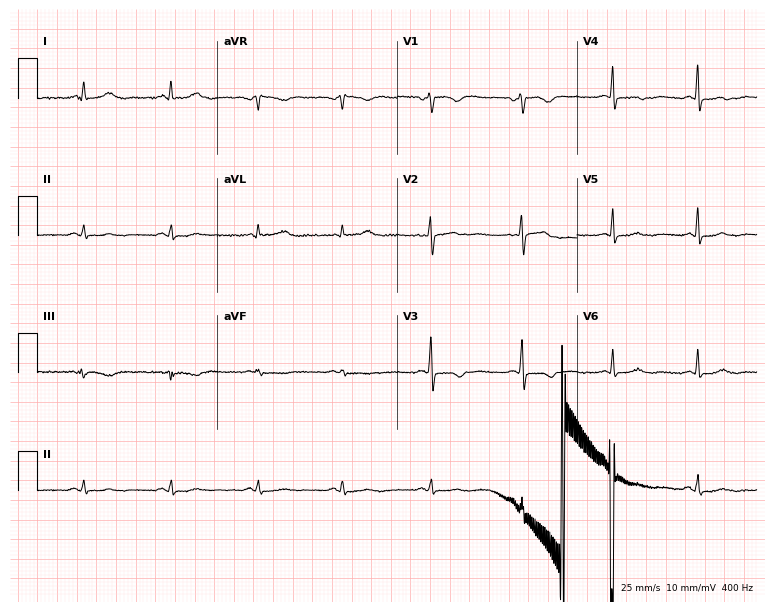
Standard 12-lead ECG recorded from a female patient, 43 years old (7.3-second recording at 400 Hz). None of these six findings is recorded: first-degree AV block, right bundle branch block, left bundle branch block, sinus bradycardia, atrial fibrillation, sinus tachycardia. Findings outside these six are not listed.